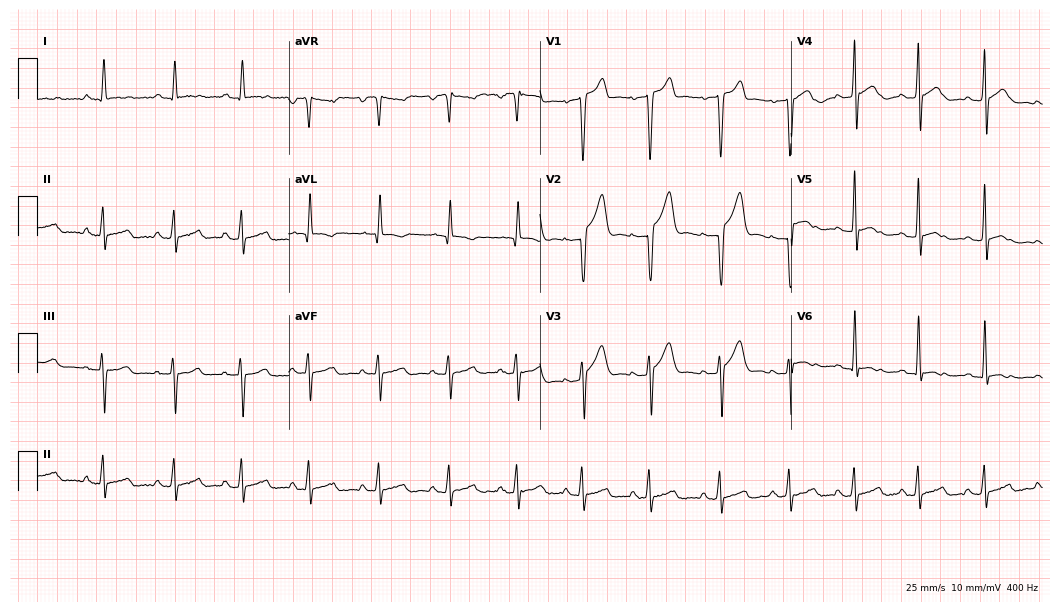
12-lead ECG (10.2-second recording at 400 Hz) from a male, 37 years old. Screened for six findings — first-degree AV block, right bundle branch block, left bundle branch block, sinus bradycardia, atrial fibrillation, sinus tachycardia — none is recorded. Findings outside these six are not listed.